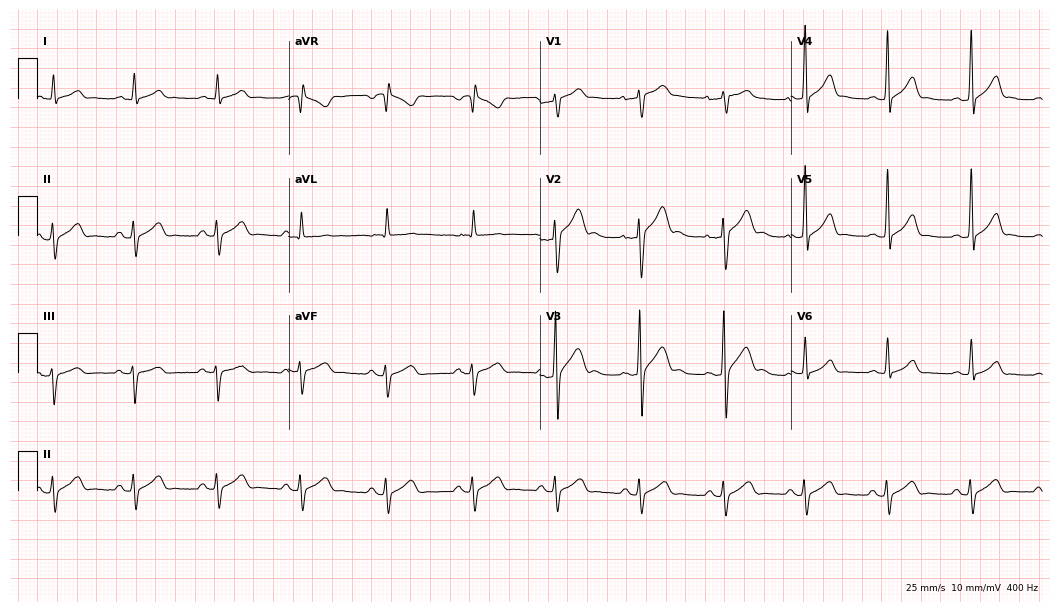
12-lead ECG (10.2-second recording at 400 Hz) from a man, 35 years old. Screened for six findings — first-degree AV block, right bundle branch block (RBBB), left bundle branch block (LBBB), sinus bradycardia, atrial fibrillation (AF), sinus tachycardia — none is recorded. Only these six findings were labelled.